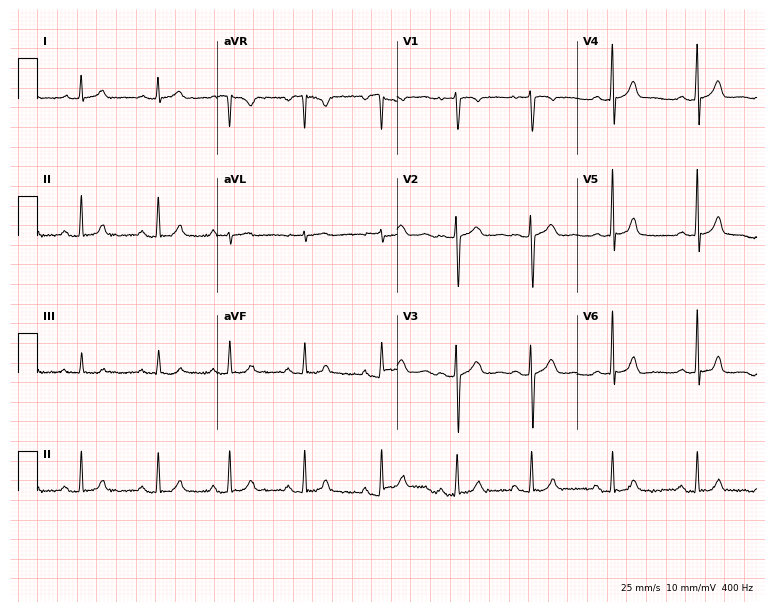
ECG — a woman, 18 years old. Screened for six findings — first-degree AV block, right bundle branch block (RBBB), left bundle branch block (LBBB), sinus bradycardia, atrial fibrillation (AF), sinus tachycardia — none is recorded. Findings outside these six are not listed.